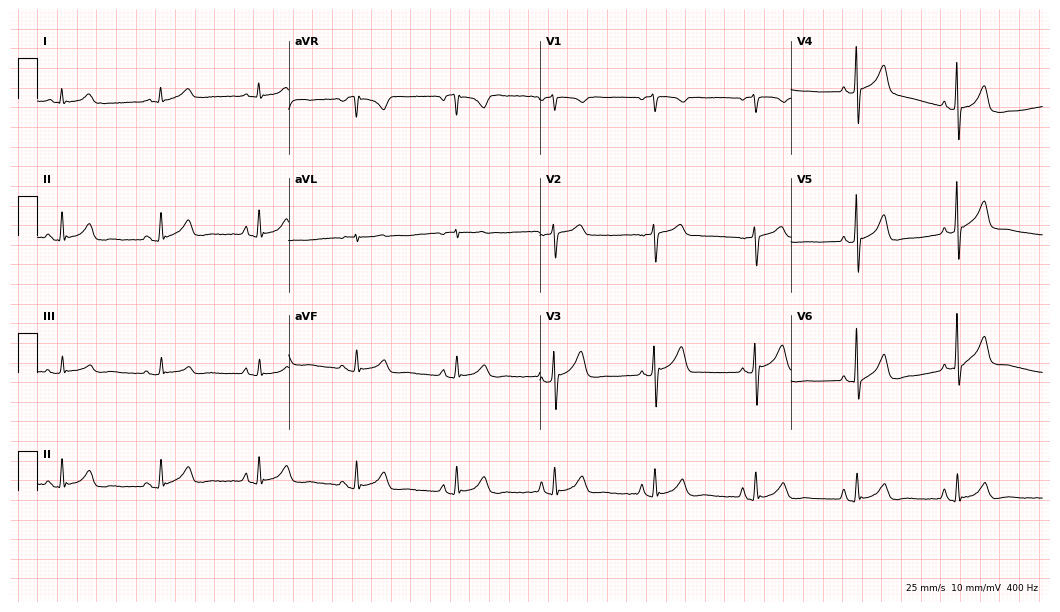
Resting 12-lead electrocardiogram (10.2-second recording at 400 Hz). Patient: a 77-year-old man. Read as a normal ECG.